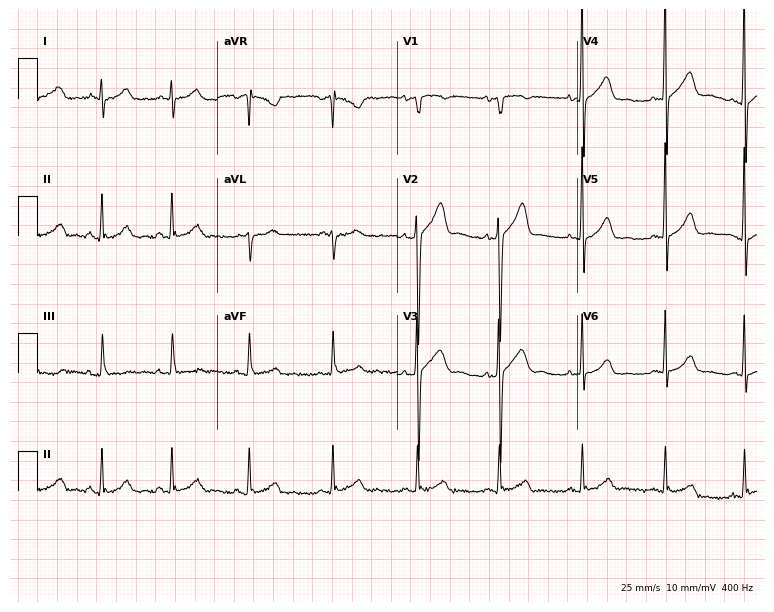
12-lead ECG from a male, 34 years old (7.3-second recording at 400 Hz). Recorded interpretation: within normal limits.